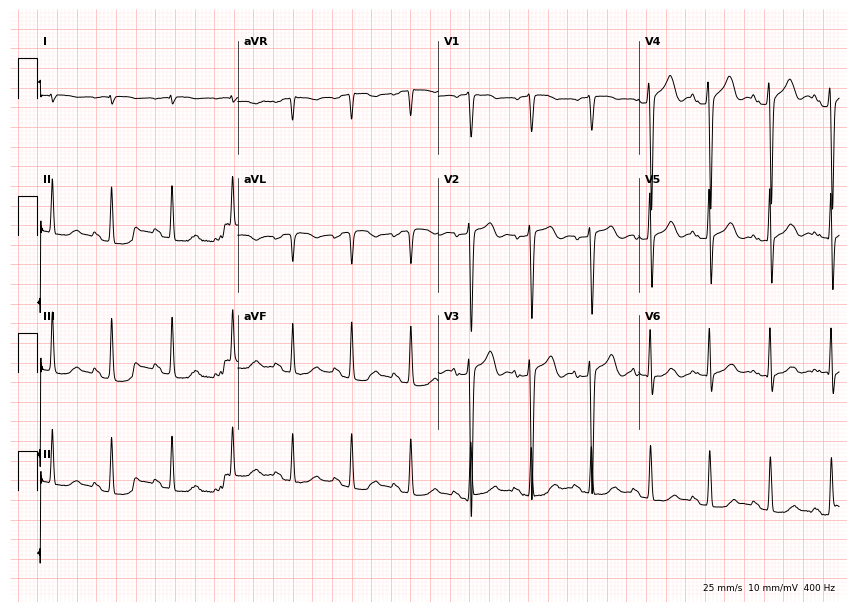
12-lead ECG from a 75-year-old male. Screened for six findings — first-degree AV block, right bundle branch block (RBBB), left bundle branch block (LBBB), sinus bradycardia, atrial fibrillation (AF), sinus tachycardia — none is recorded. Other findings, if any, are not listed.